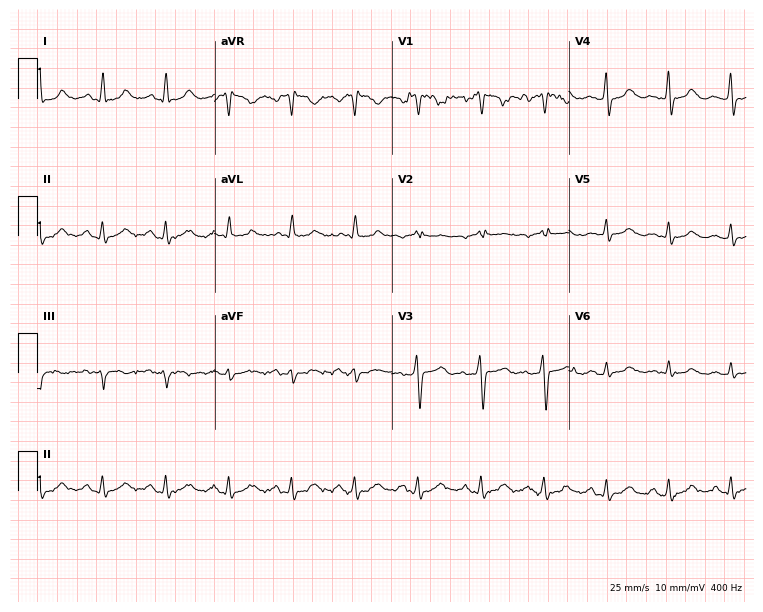
ECG — a 30-year-old woman. Screened for six findings — first-degree AV block, right bundle branch block (RBBB), left bundle branch block (LBBB), sinus bradycardia, atrial fibrillation (AF), sinus tachycardia — none is recorded. Only these six findings were labelled.